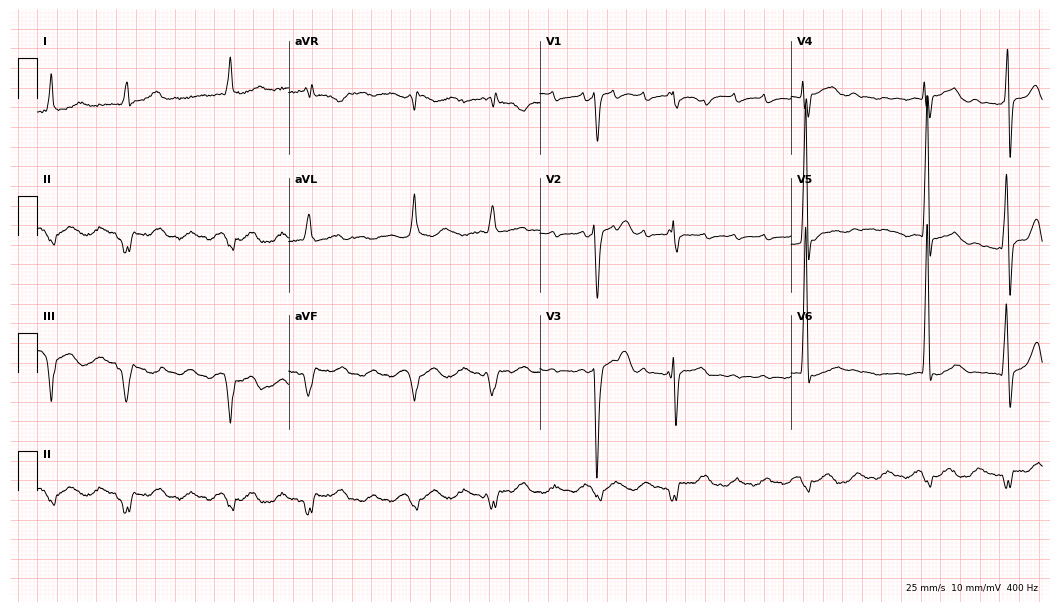
Standard 12-lead ECG recorded from a 70-year-old man. None of these six findings is recorded: first-degree AV block, right bundle branch block (RBBB), left bundle branch block (LBBB), sinus bradycardia, atrial fibrillation (AF), sinus tachycardia. Findings outside these six are not listed.